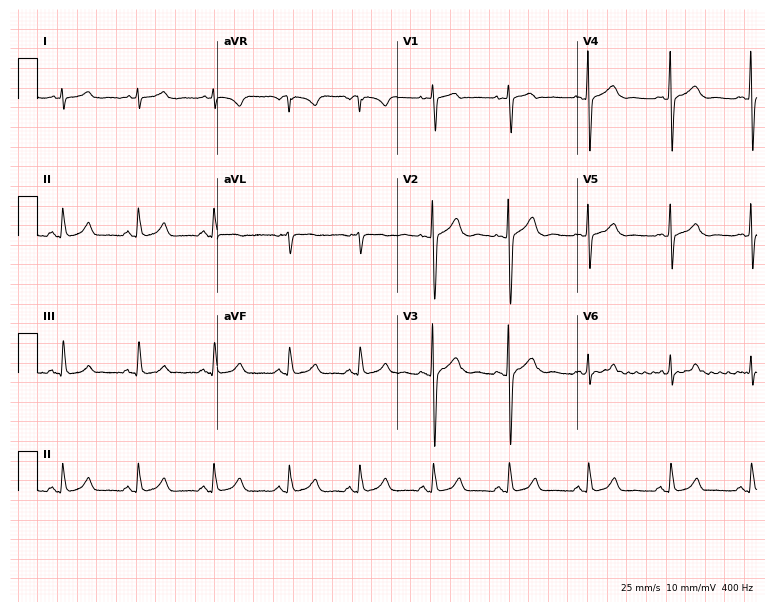
Standard 12-lead ECG recorded from a female patient, 19 years old (7.3-second recording at 400 Hz). Read as a normal ECG.